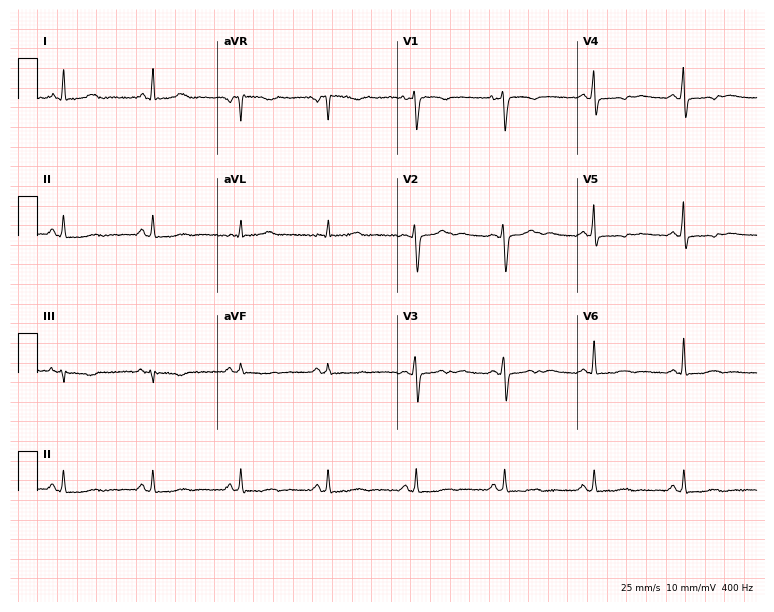
Resting 12-lead electrocardiogram (7.3-second recording at 400 Hz). Patient: a female, 52 years old. None of these six findings is recorded: first-degree AV block, right bundle branch block, left bundle branch block, sinus bradycardia, atrial fibrillation, sinus tachycardia. Other findings, if any, are not listed.